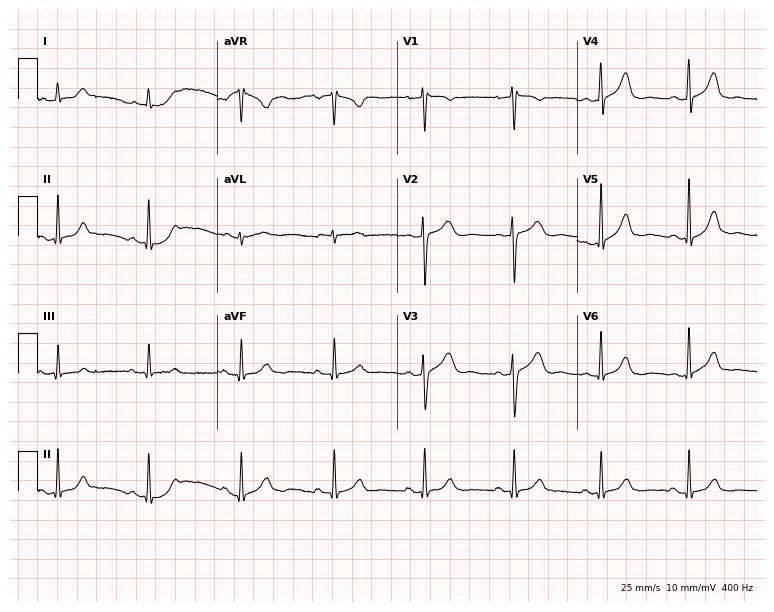
ECG (7.3-second recording at 400 Hz) — a 56-year-old woman. Labelled as a normal ECG.